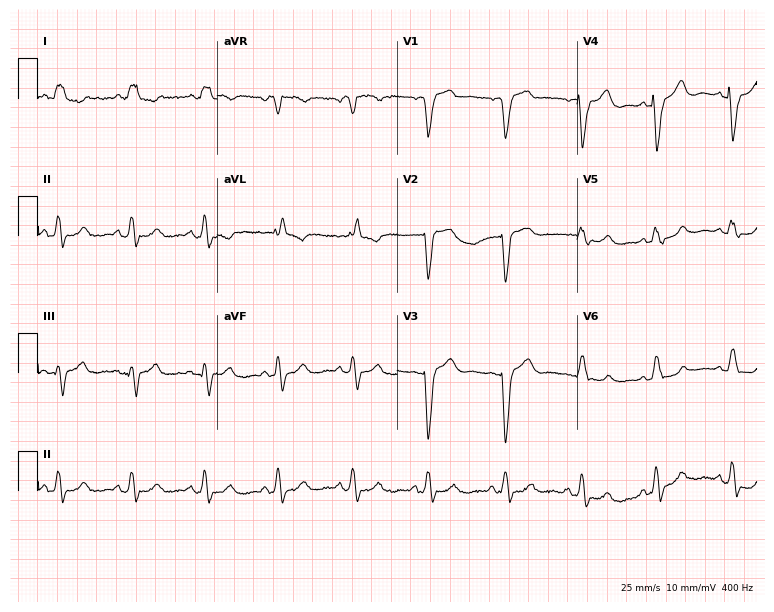
ECG (7.3-second recording at 400 Hz) — a 62-year-old female patient. Findings include left bundle branch block.